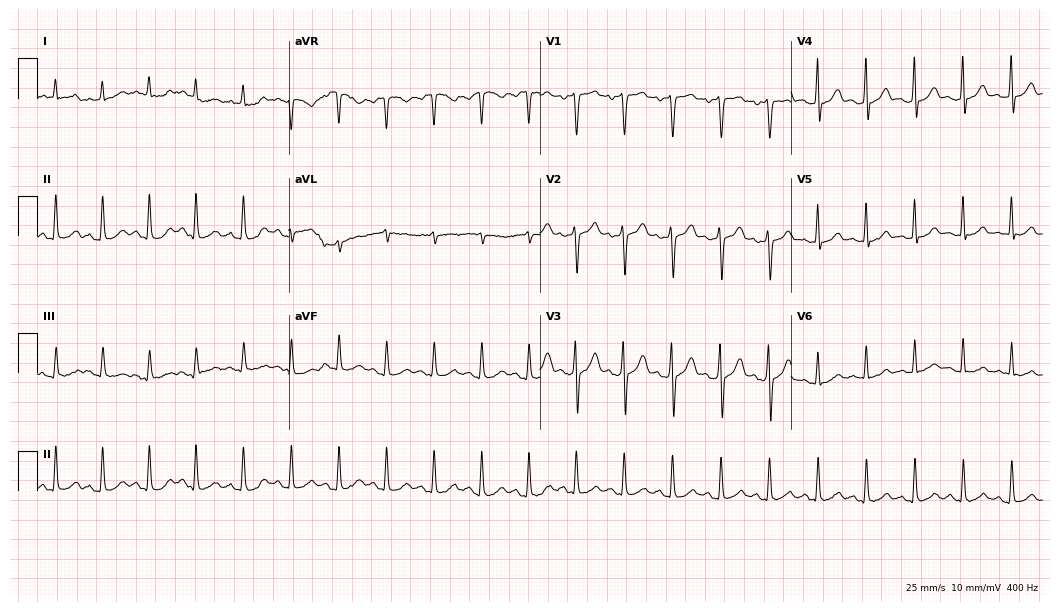
12-lead ECG from a man, 44 years old. Findings include sinus tachycardia (a sinus rate of 100 beats per minute or more).